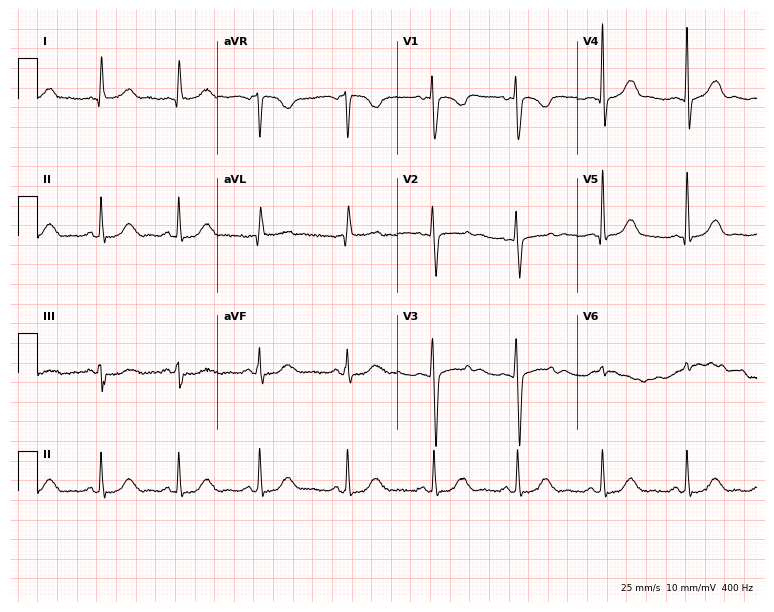
Resting 12-lead electrocardiogram (7.3-second recording at 400 Hz). Patient: a 36-year-old woman. Read as a normal ECG.